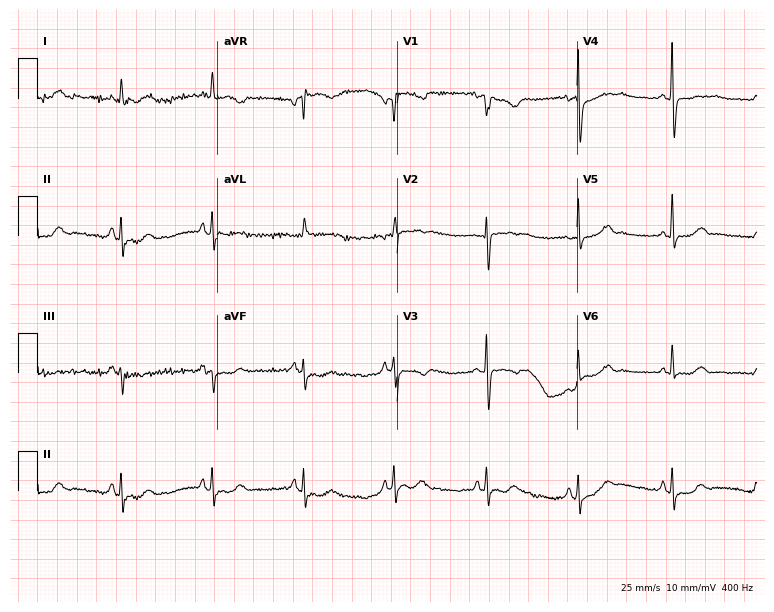
12-lead ECG (7.3-second recording at 400 Hz) from a woman, 67 years old. Screened for six findings — first-degree AV block, right bundle branch block, left bundle branch block, sinus bradycardia, atrial fibrillation, sinus tachycardia — none is recorded.